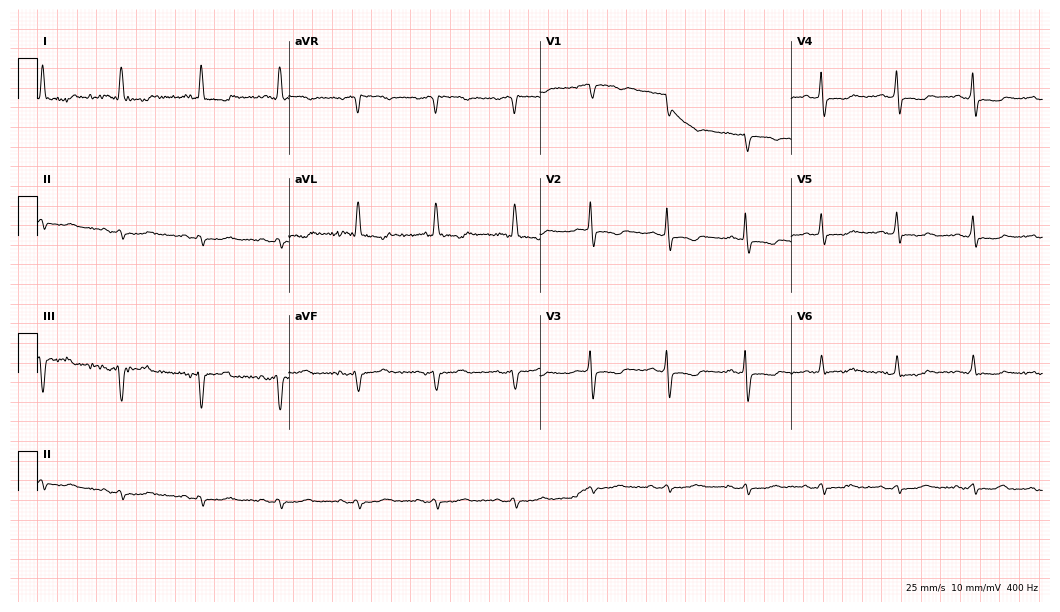
Standard 12-lead ECG recorded from a woman, 78 years old (10.2-second recording at 400 Hz). None of these six findings is recorded: first-degree AV block, right bundle branch block (RBBB), left bundle branch block (LBBB), sinus bradycardia, atrial fibrillation (AF), sinus tachycardia. Only these six findings were labelled.